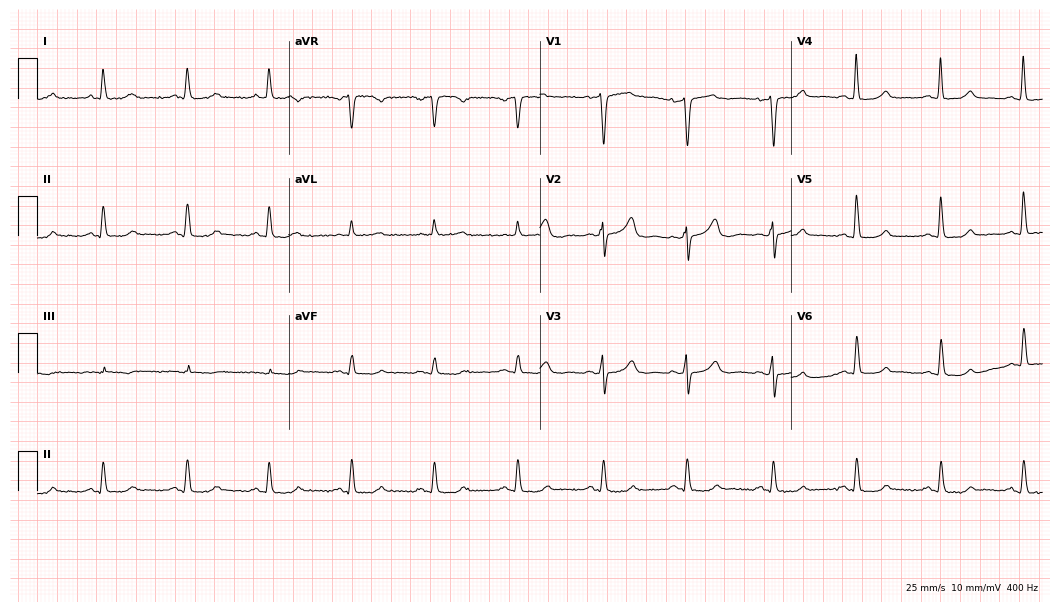
12-lead ECG from a woman, 65 years old. Labelled as a normal ECG.